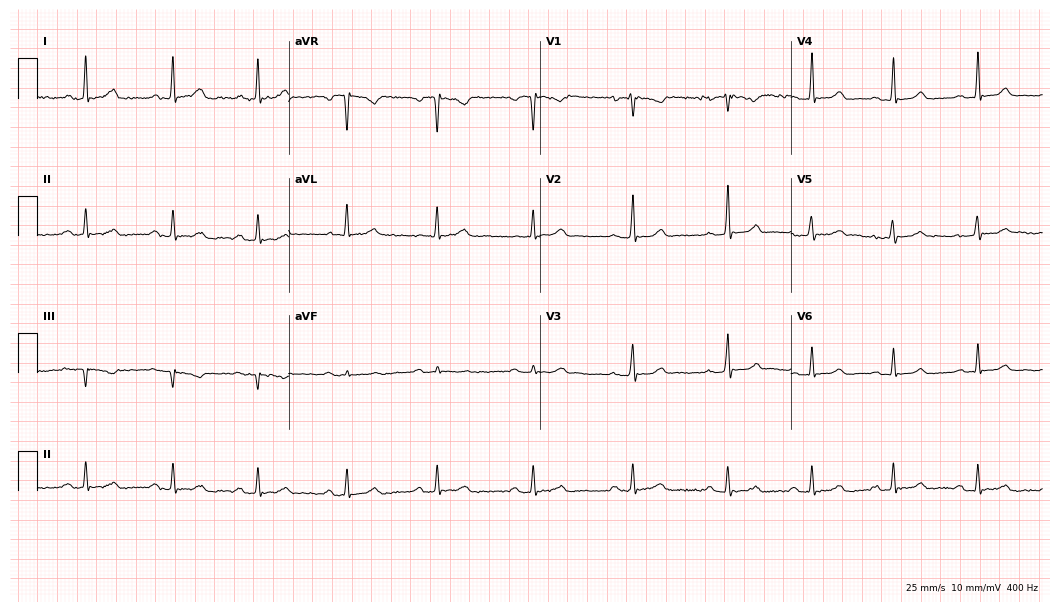
12-lead ECG from a 71-year-old female patient (10.2-second recording at 400 Hz). Recorded interpretation: within normal limits.